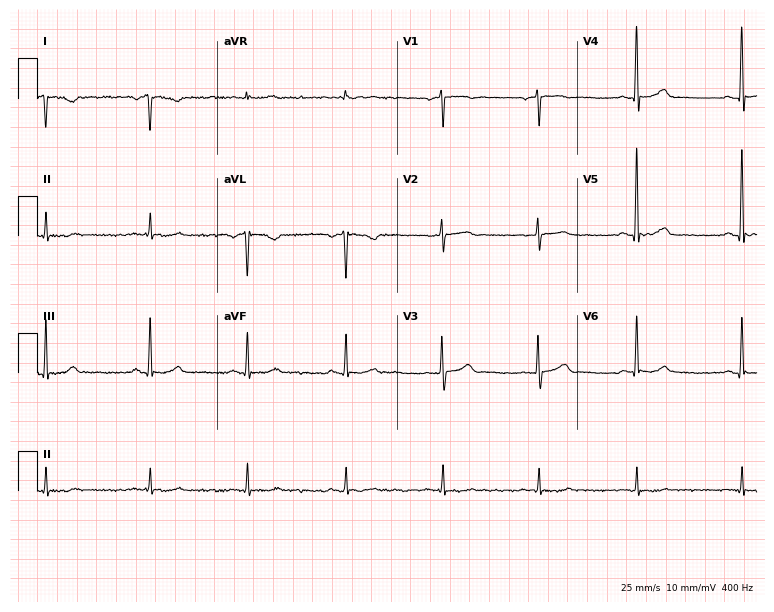
Resting 12-lead electrocardiogram. Patient: a 70-year-old woman. None of these six findings is recorded: first-degree AV block, right bundle branch block, left bundle branch block, sinus bradycardia, atrial fibrillation, sinus tachycardia. Only these six findings were labelled.